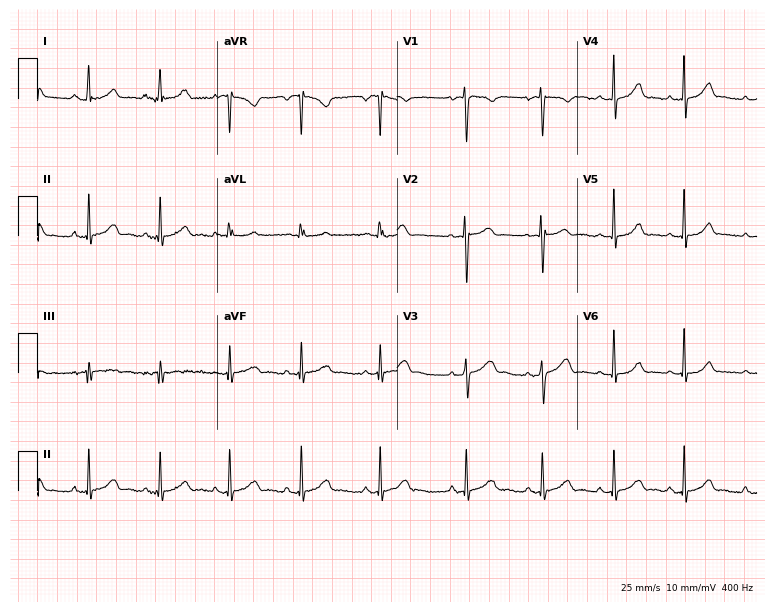
Standard 12-lead ECG recorded from a 19-year-old female (7.3-second recording at 400 Hz). Read as a normal ECG.